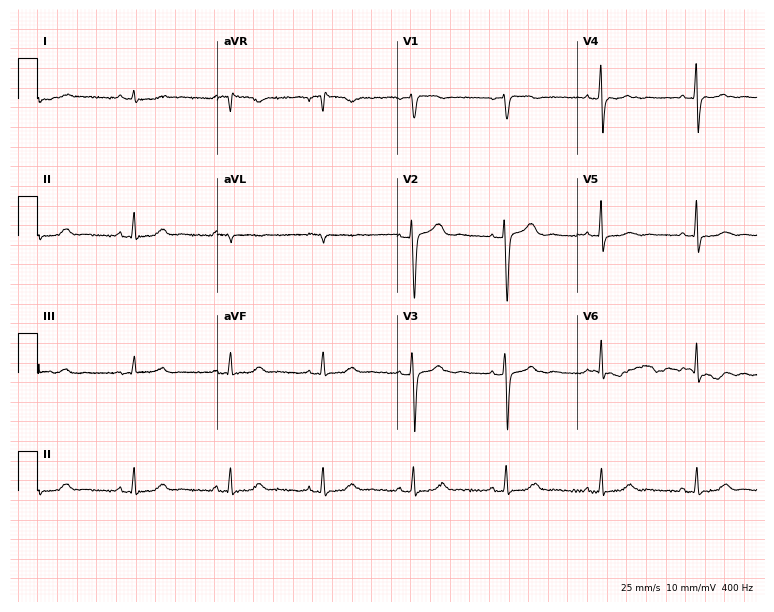
ECG — a woman, 54 years old. Labelled as a normal ECG.